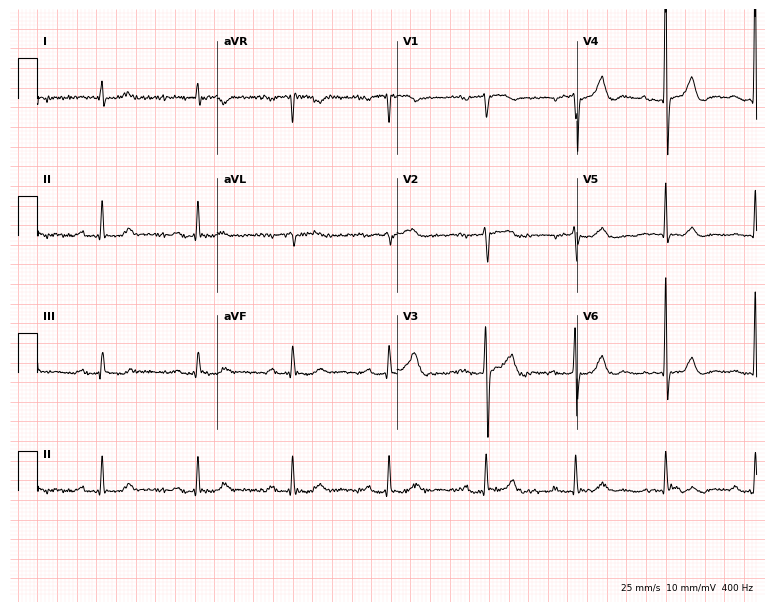
ECG (7.3-second recording at 400 Hz) — a 72-year-old male patient. Labelled as a normal ECG.